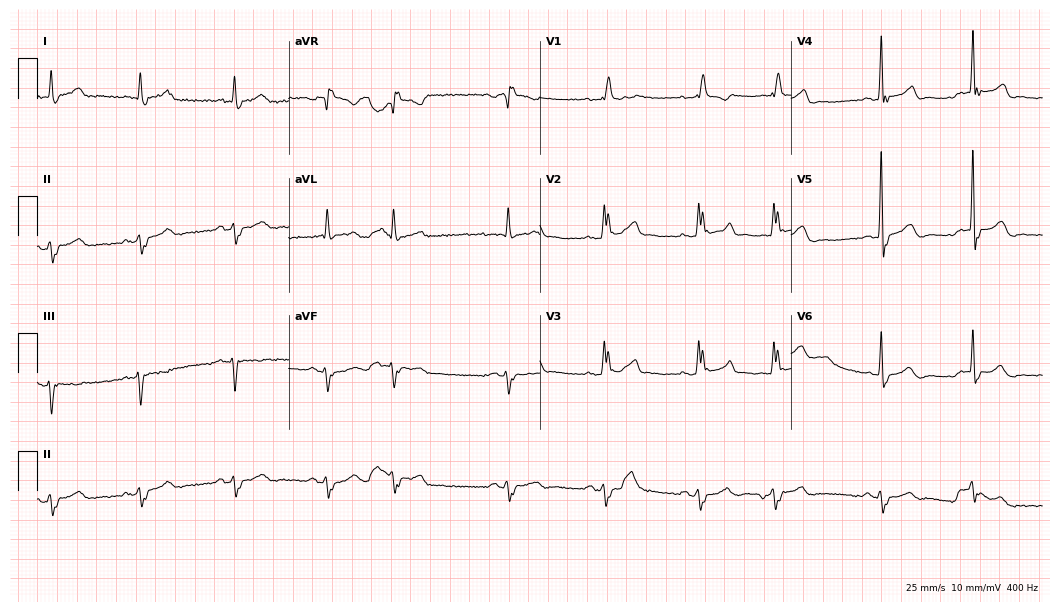
ECG (10.2-second recording at 400 Hz) — a man, 82 years old. Findings include right bundle branch block.